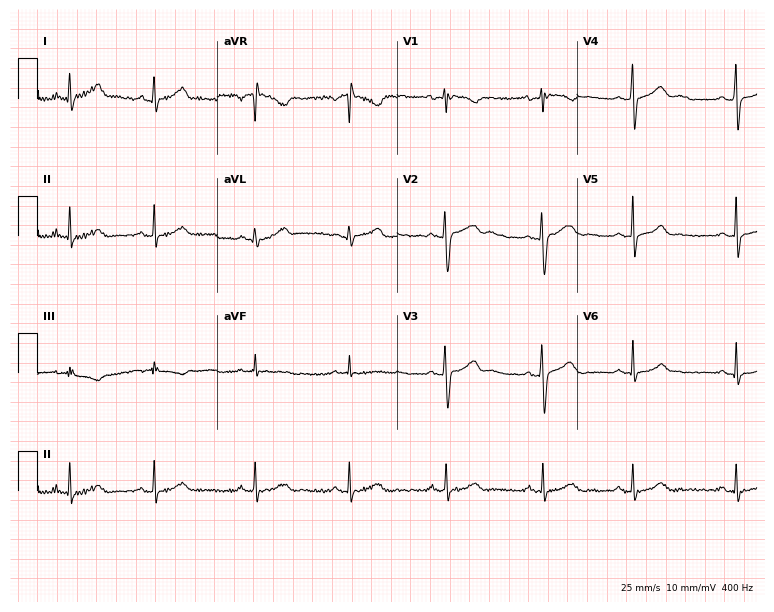
Electrocardiogram, a female, 17 years old. Of the six screened findings (first-degree AV block, right bundle branch block, left bundle branch block, sinus bradycardia, atrial fibrillation, sinus tachycardia), none is recorded. Other findings, if any, are not listed.